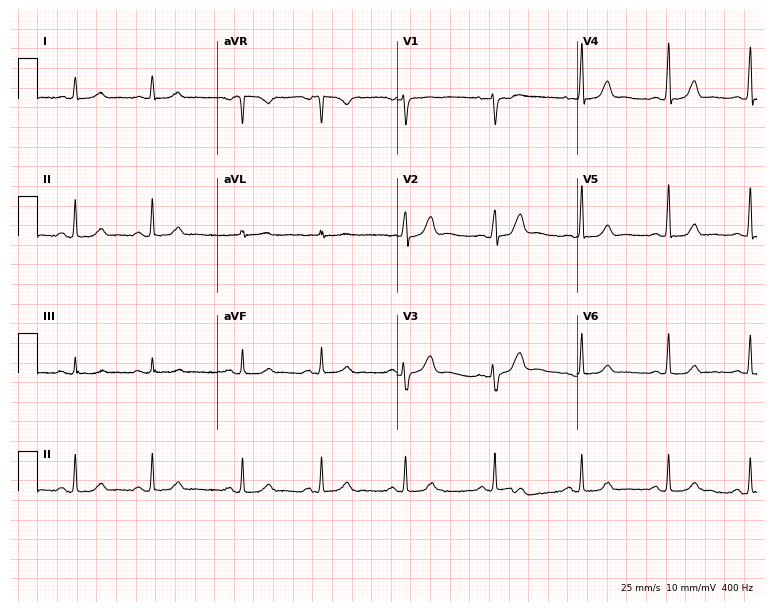
ECG — a female, 34 years old. Labelled as a normal ECG.